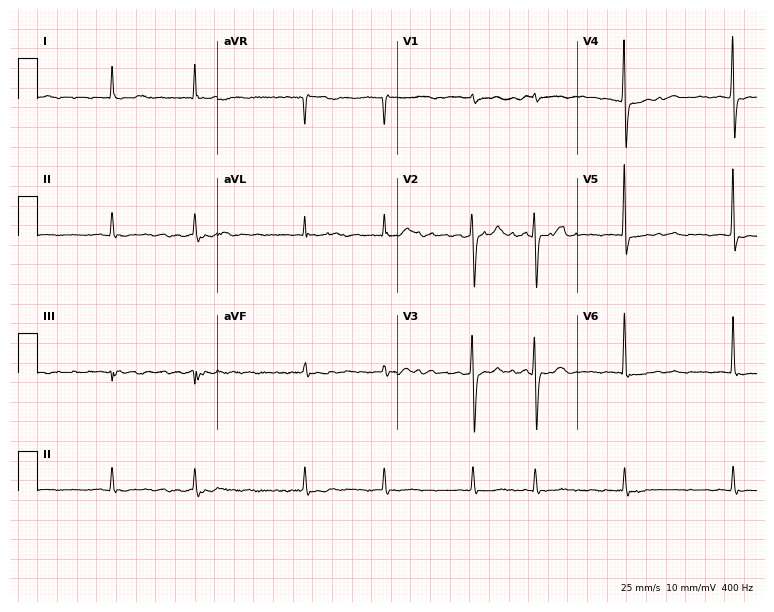
12-lead ECG from a female, 74 years old. Shows atrial fibrillation (AF).